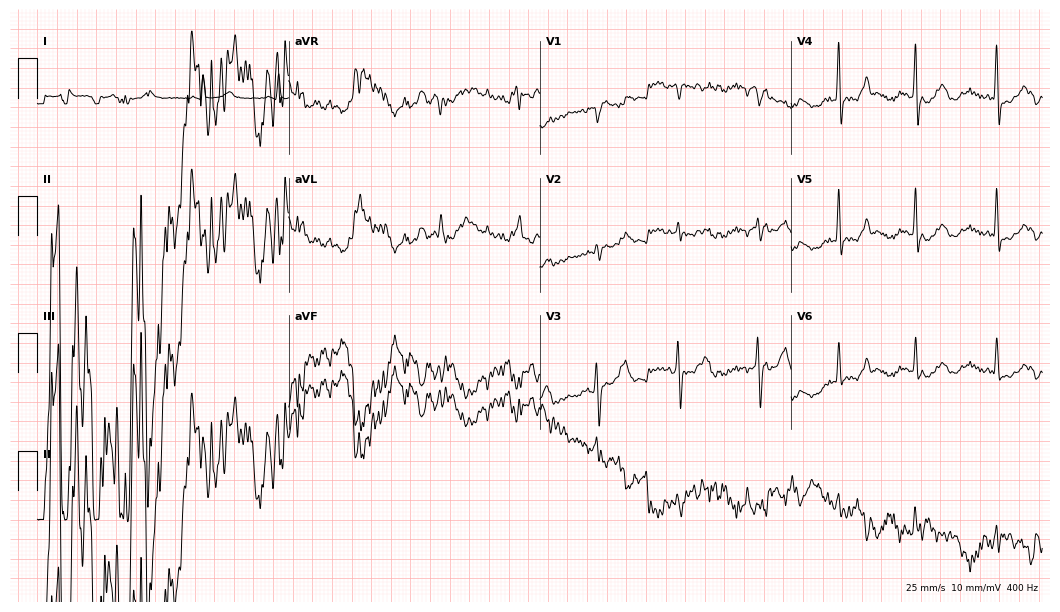
Resting 12-lead electrocardiogram. Patient: a male, 78 years old. None of these six findings is recorded: first-degree AV block, right bundle branch block, left bundle branch block, sinus bradycardia, atrial fibrillation, sinus tachycardia.